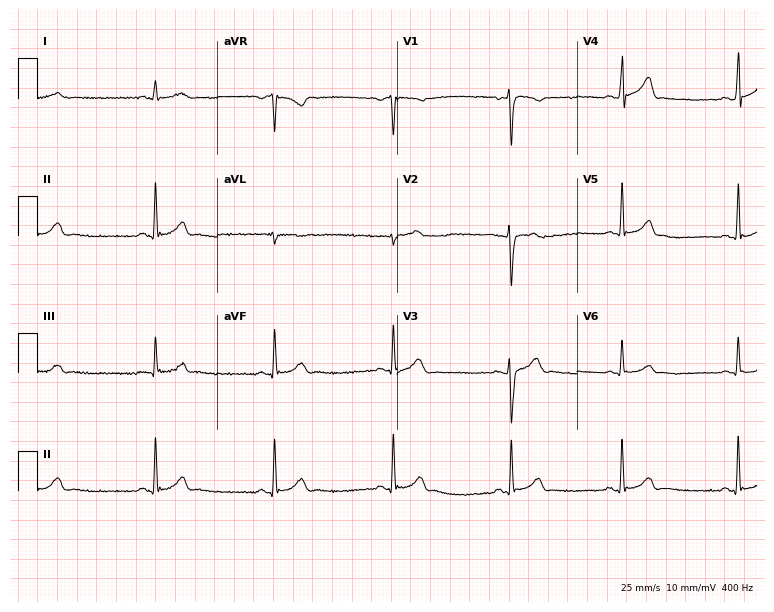
12-lead ECG (7.3-second recording at 400 Hz) from a 21-year-old male. Labelled as a normal ECG.